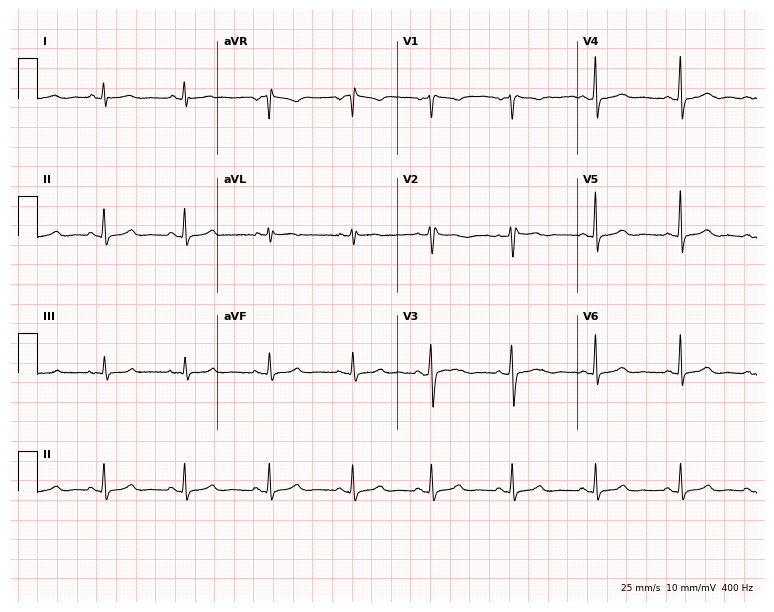
12-lead ECG from a 34-year-old female patient (7.3-second recording at 400 Hz). No first-degree AV block, right bundle branch block (RBBB), left bundle branch block (LBBB), sinus bradycardia, atrial fibrillation (AF) or sinus tachycardia recorded for this tracing.